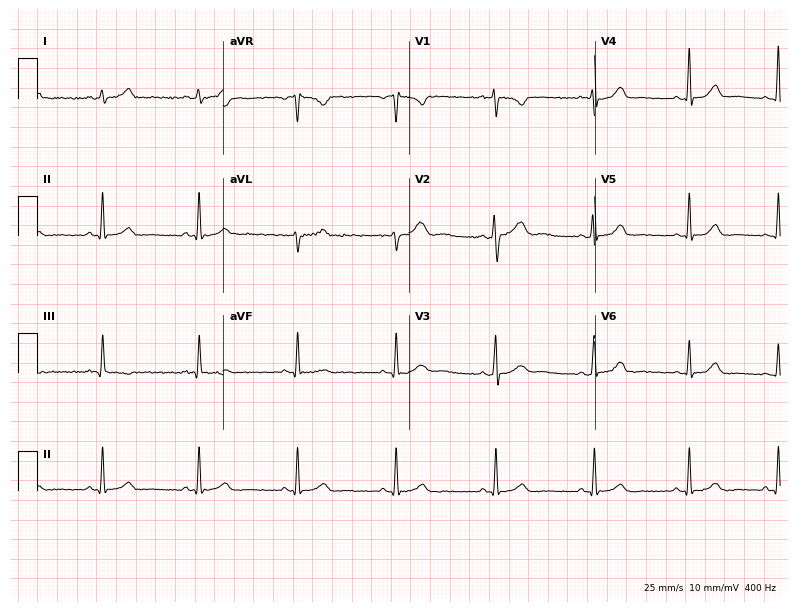
12-lead ECG from a 25-year-old female (7.6-second recording at 400 Hz). Recorded interpretation: within normal limits.